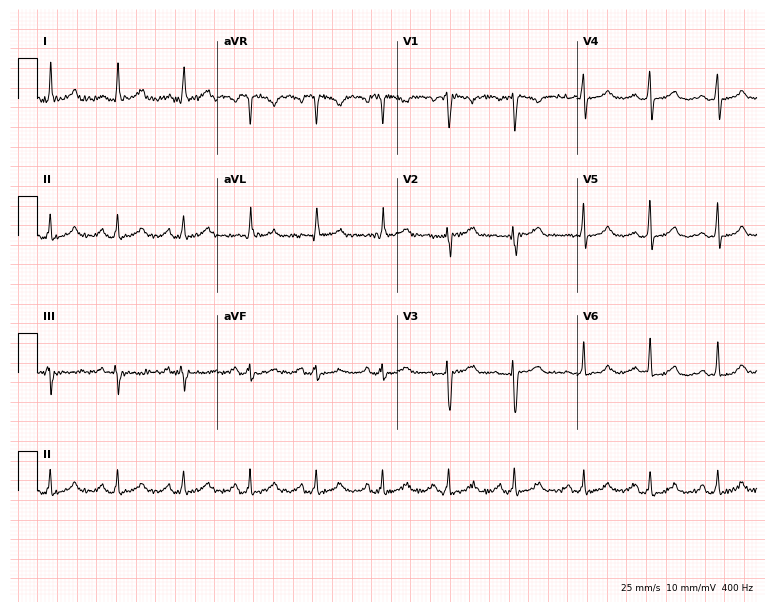
12-lead ECG (7.3-second recording at 400 Hz) from a woman, 47 years old. Labelled as a normal ECG.